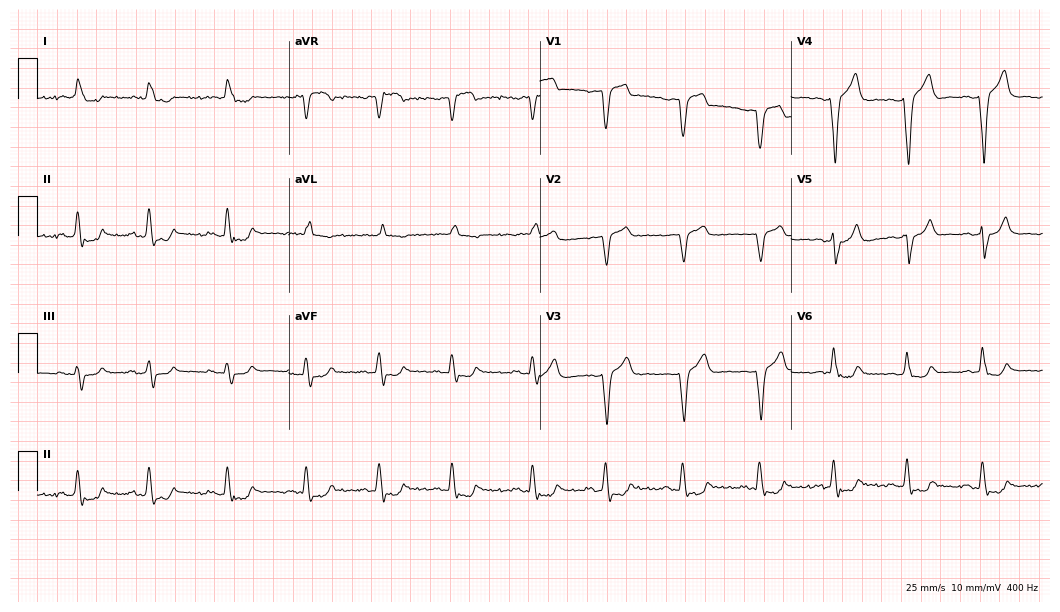
Electrocardiogram (10.2-second recording at 400 Hz), a male patient, 75 years old. Interpretation includes left bundle branch block (LBBB).